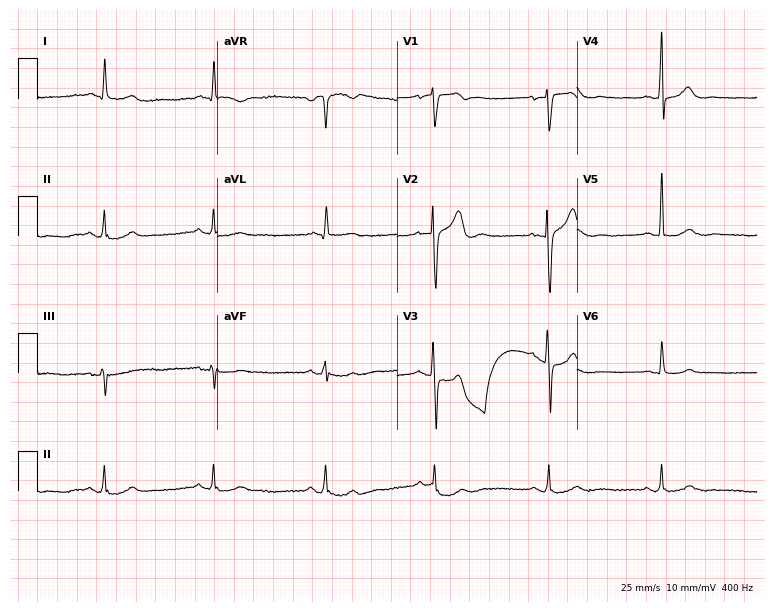
Resting 12-lead electrocardiogram. Patient: a male, 57 years old. None of these six findings is recorded: first-degree AV block, right bundle branch block, left bundle branch block, sinus bradycardia, atrial fibrillation, sinus tachycardia. Only these six findings were labelled.